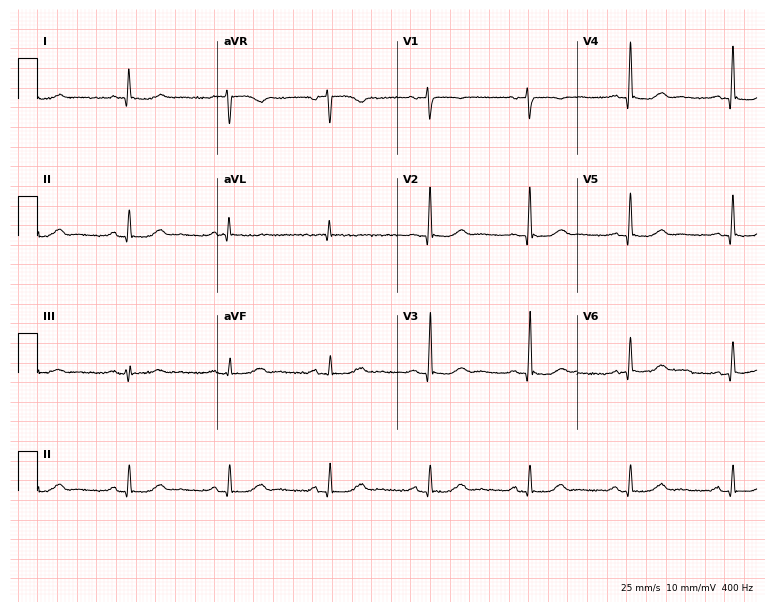
Resting 12-lead electrocardiogram. Patient: an 80-year-old woman. Read as a normal ECG.